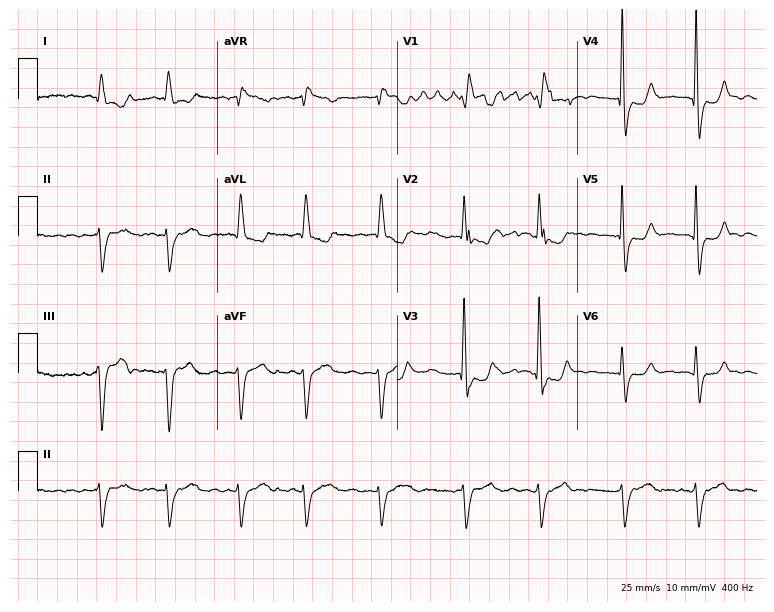
ECG — a female, 74 years old. Findings include right bundle branch block, atrial fibrillation.